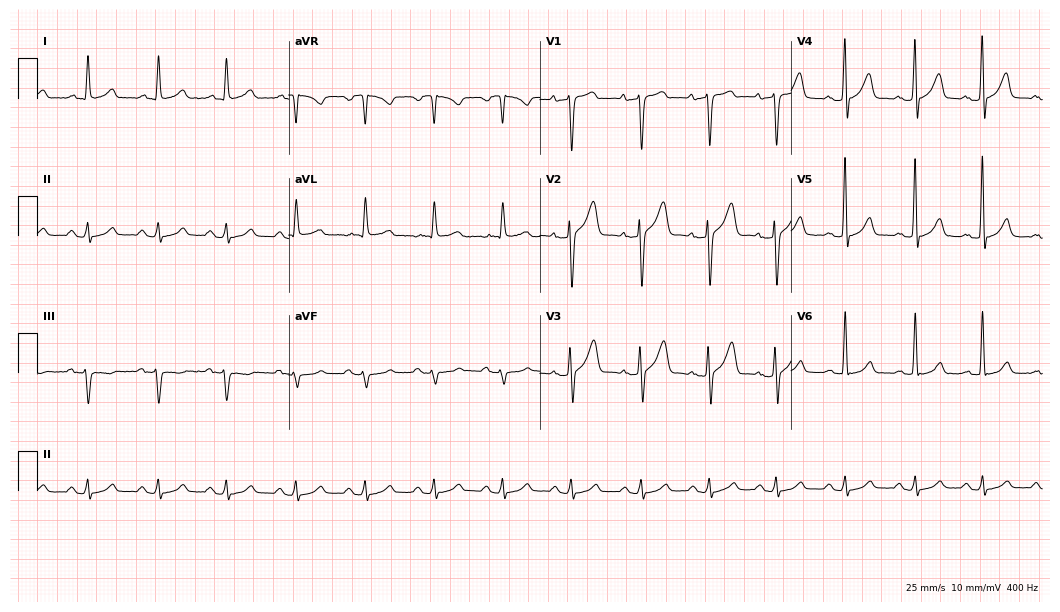
Resting 12-lead electrocardiogram (10.2-second recording at 400 Hz). Patient: a 63-year-old male. Read as a normal ECG.